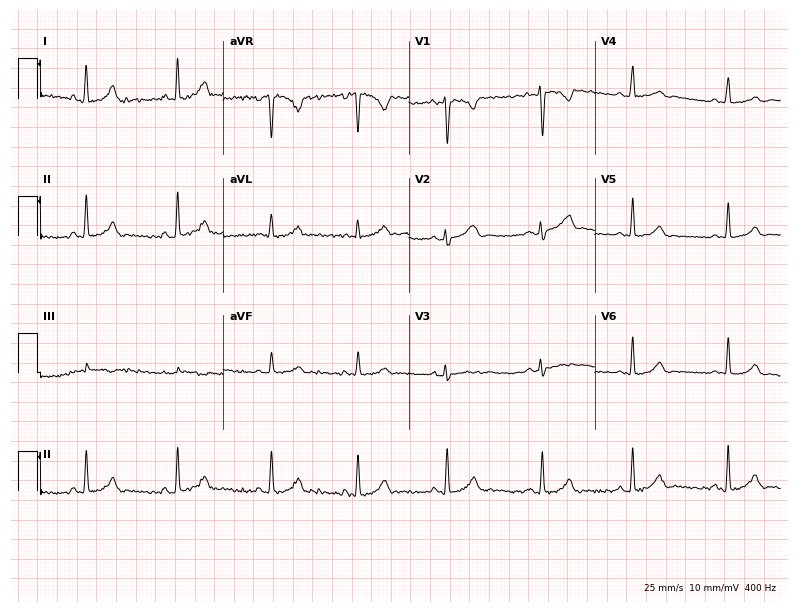
Standard 12-lead ECG recorded from a female patient, 24 years old. Read as a normal ECG.